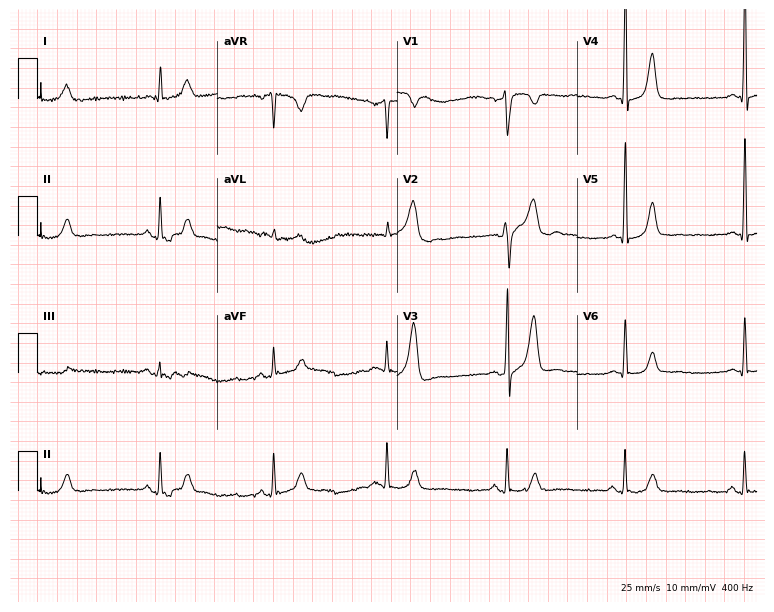
Resting 12-lead electrocardiogram. Patient: a male, 44 years old. None of these six findings is recorded: first-degree AV block, right bundle branch block, left bundle branch block, sinus bradycardia, atrial fibrillation, sinus tachycardia.